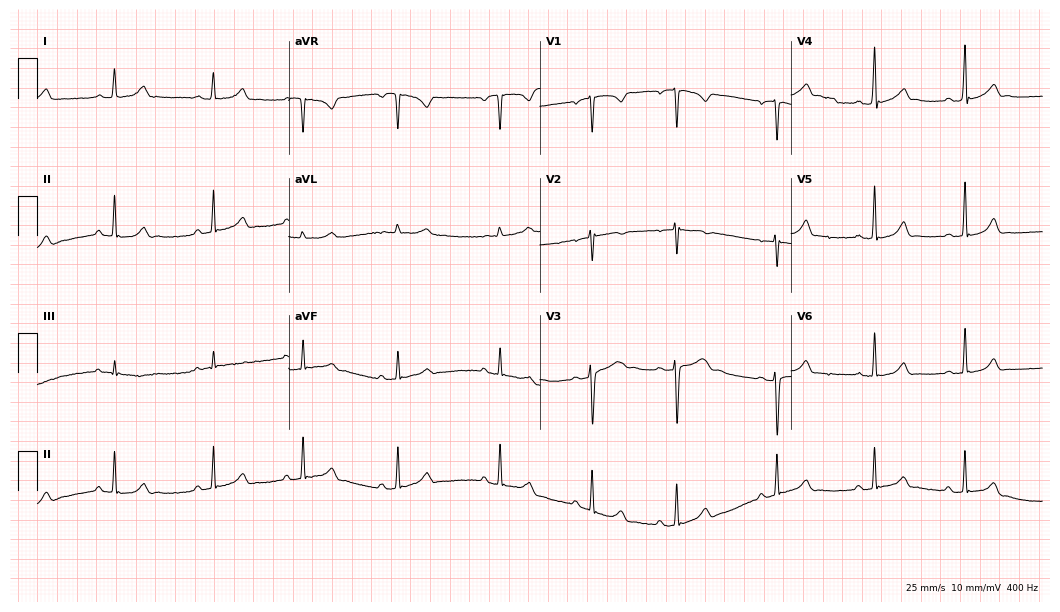
Resting 12-lead electrocardiogram. Patient: a woman, 17 years old. Read as a normal ECG.